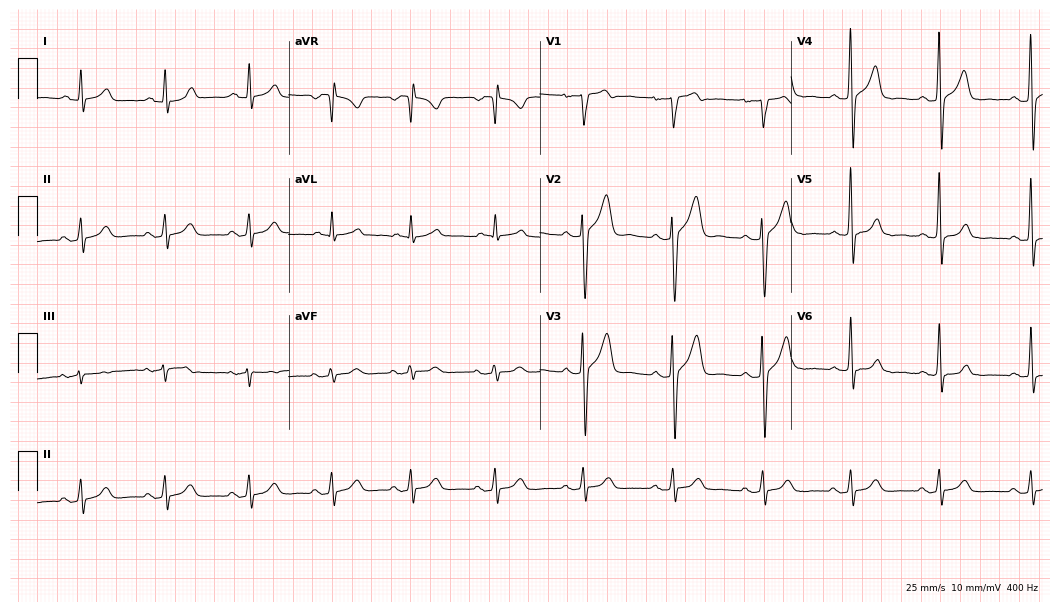
12-lead ECG from a 49-year-old male patient. Screened for six findings — first-degree AV block, right bundle branch block, left bundle branch block, sinus bradycardia, atrial fibrillation, sinus tachycardia — none is recorded.